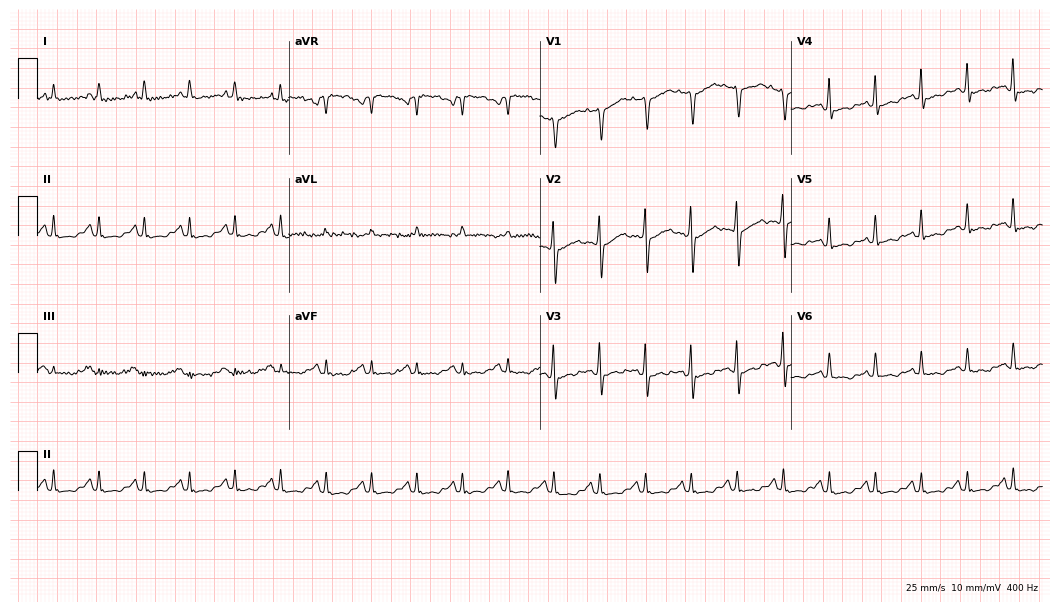
Standard 12-lead ECG recorded from a 38-year-old male patient (10.2-second recording at 400 Hz). The tracing shows sinus tachycardia (a sinus rate of 100 beats per minute or more).